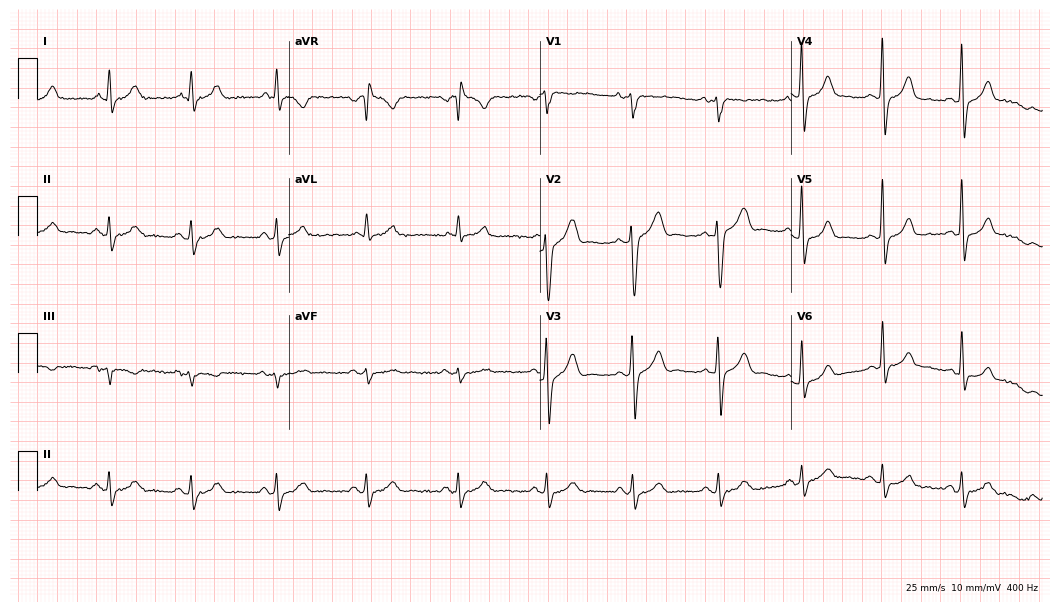
12-lead ECG from a 32-year-old male patient (10.2-second recording at 400 Hz). No first-degree AV block, right bundle branch block (RBBB), left bundle branch block (LBBB), sinus bradycardia, atrial fibrillation (AF) or sinus tachycardia recorded for this tracing. Findings outside these six are not listed.